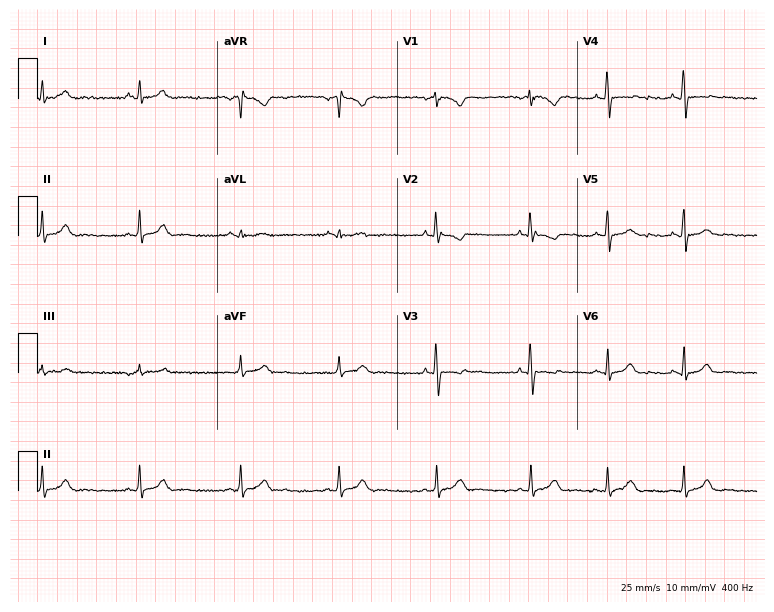
Standard 12-lead ECG recorded from a 30-year-old female. None of these six findings is recorded: first-degree AV block, right bundle branch block, left bundle branch block, sinus bradycardia, atrial fibrillation, sinus tachycardia. Only these six findings were labelled.